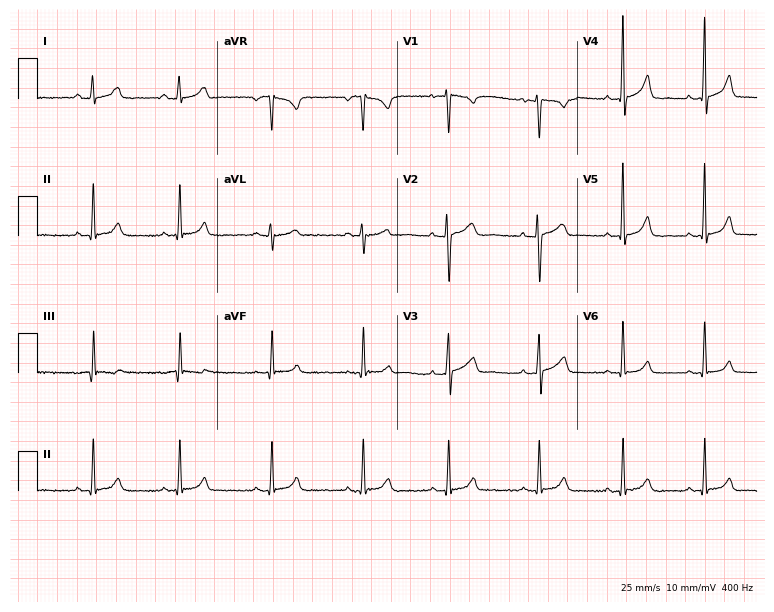
12-lead ECG from a female, 28 years old (7.3-second recording at 400 Hz). Recorded interpretation: within normal limits.